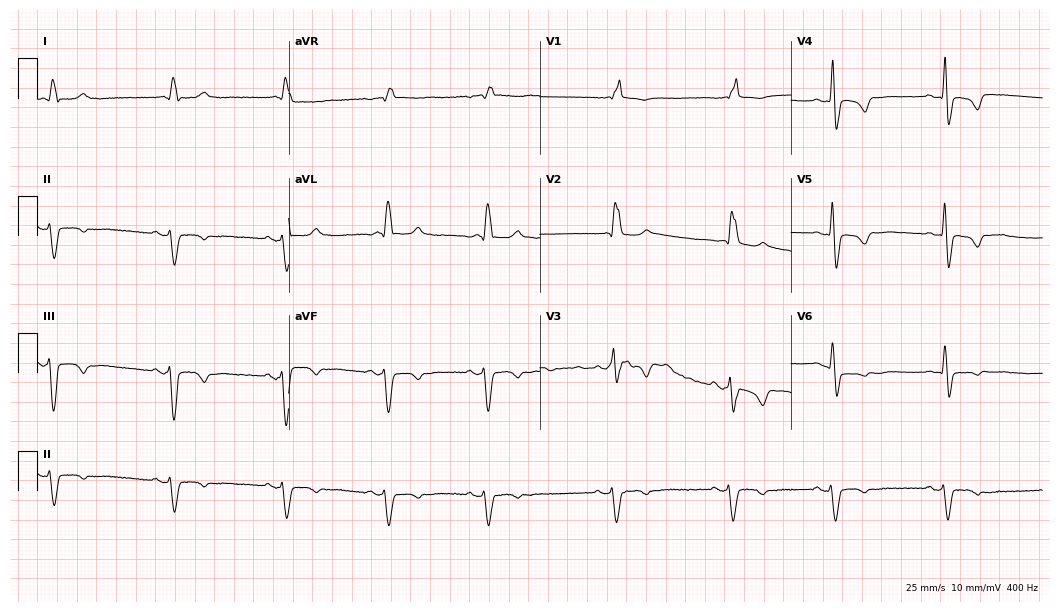
Electrocardiogram, a male patient, 82 years old. Interpretation includes right bundle branch block (RBBB).